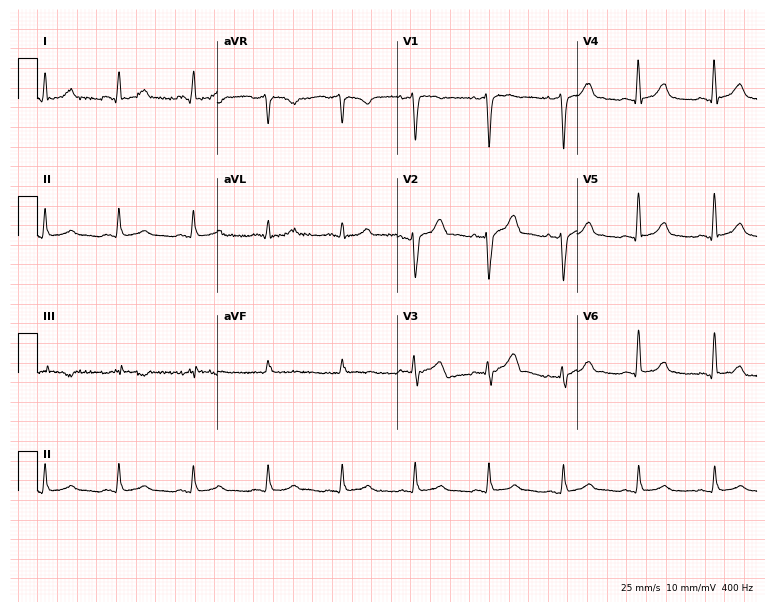
12-lead ECG from a 69-year-old female (7.3-second recording at 400 Hz). No first-degree AV block, right bundle branch block (RBBB), left bundle branch block (LBBB), sinus bradycardia, atrial fibrillation (AF) or sinus tachycardia recorded for this tracing. Other findings, if any, are not listed.